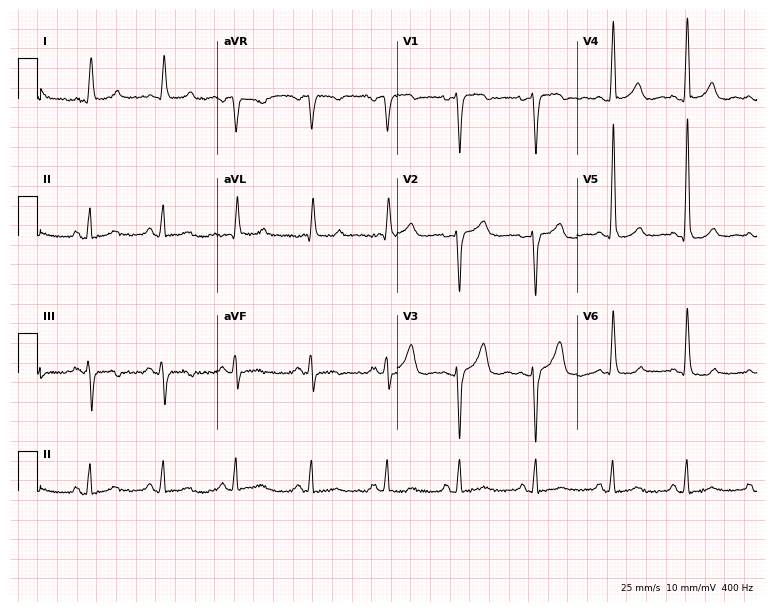
Standard 12-lead ECG recorded from a female patient, 61 years old. None of these six findings is recorded: first-degree AV block, right bundle branch block, left bundle branch block, sinus bradycardia, atrial fibrillation, sinus tachycardia.